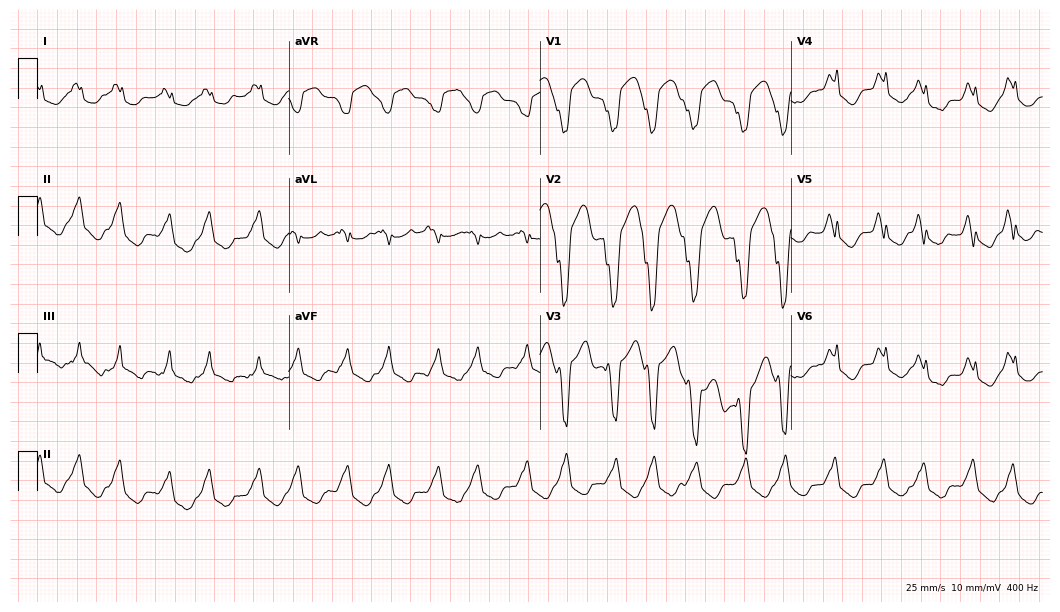
Electrocardiogram (10.2-second recording at 400 Hz), an 83-year-old man. Of the six screened findings (first-degree AV block, right bundle branch block, left bundle branch block, sinus bradycardia, atrial fibrillation, sinus tachycardia), none is recorded.